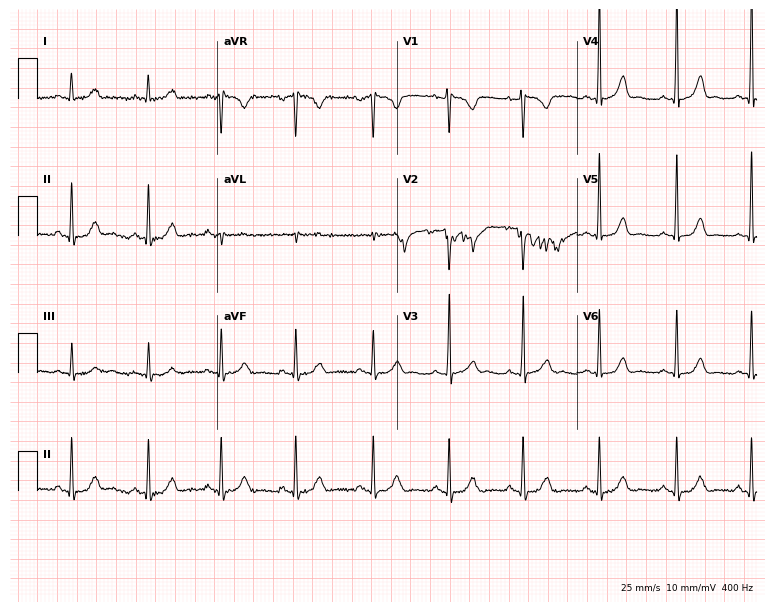
12-lead ECG from a woman, 25 years old. Recorded interpretation: within normal limits.